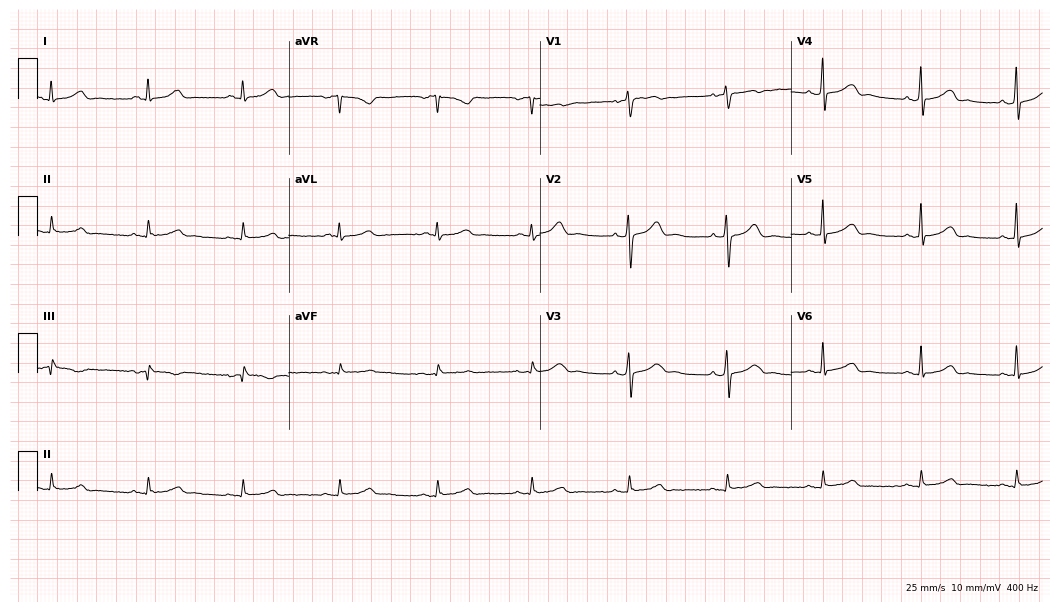
12-lead ECG from a 27-year-old woman. Labelled as a normal ECG.